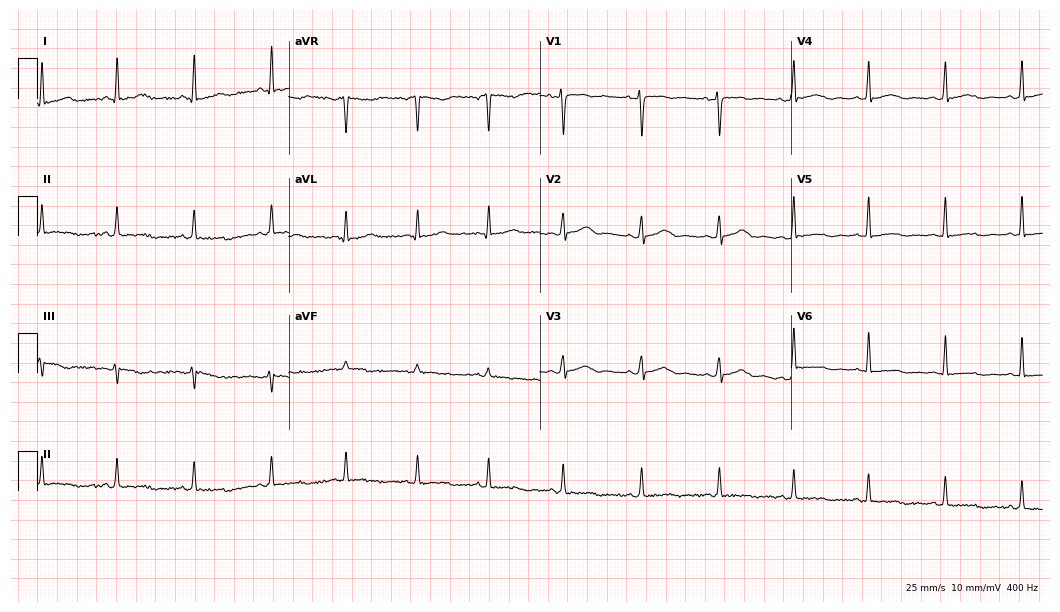
Electrocardiogram (10.2-second recording at 400 Hz), a 38-year-old female patient. Of the six screened findings (first-degree AV block, right bundle branch block, left bundle branch block, sinus bradycardia, atrial fibrillation, sinus tachycardia), none is recorded.